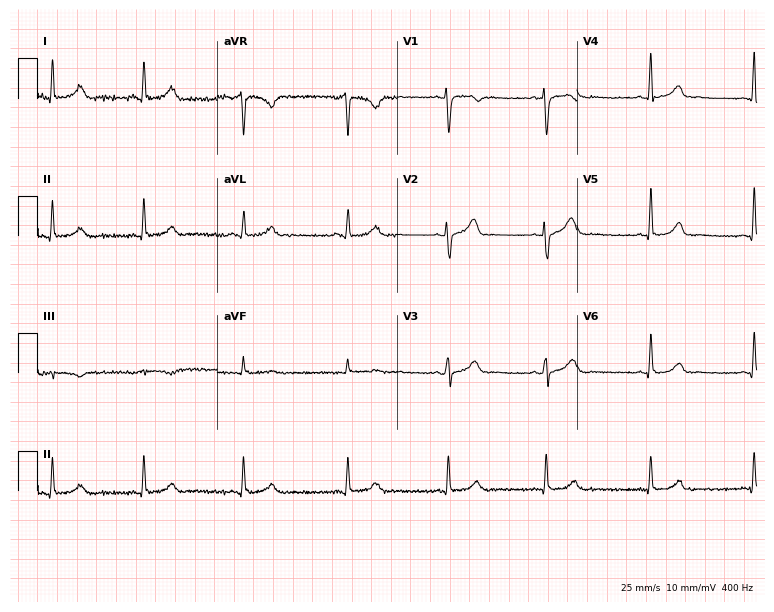
Standard 12-lead ECG recorded from a woman, 39 years old (7.3-second recording at 400 Hz). None of these six findings is recorded: first-degree AV block, right bundle branch block (RBBB), left bundle branch block (LBBB), sinus bradycardia, atrial fibrillation (AF), sinus tachycardia. Only these six findings were labelled.